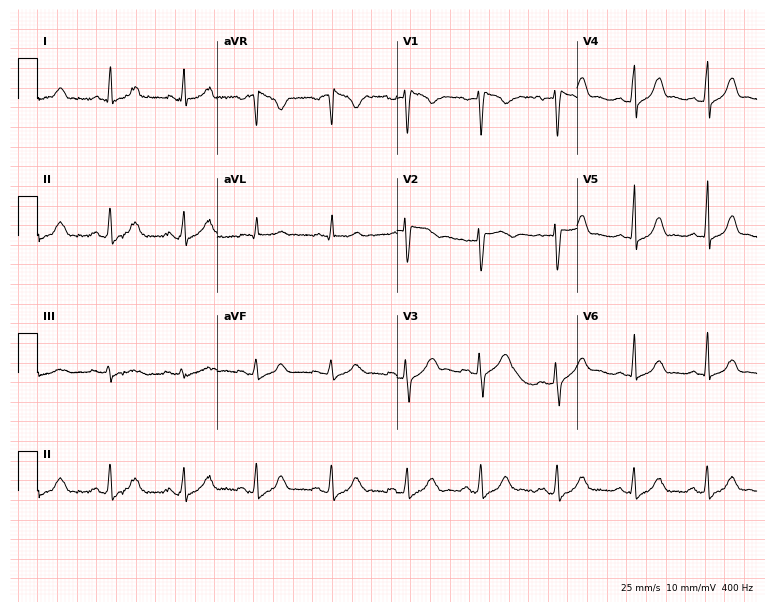
12-lead ECG (7.3-second recording at 400 Hz) from a woman, 39 years old. Screened for six findings — first-degree AV block, right bundle branch block (RBBB), left bundle branch block (LBBB), sinus bradycardia, atrial fibrillation (AF), sinus tachycardia — none is recorded. Other findings, if any, are not listed.